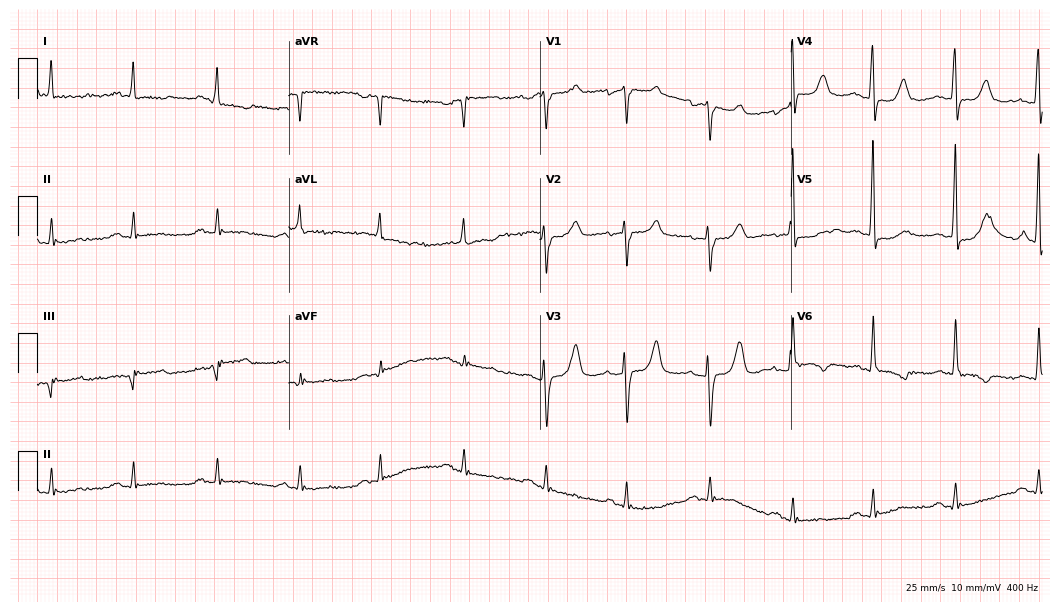
Electrocardiogram, a 71-year-old female patient. Of the six screened findings (first-degree AV block, right bundle branch block, left bundle branch block, sinus bradycardia, atrial fibrillation, sinus tachycardia), none is recorded. Only these six findings were labelled.